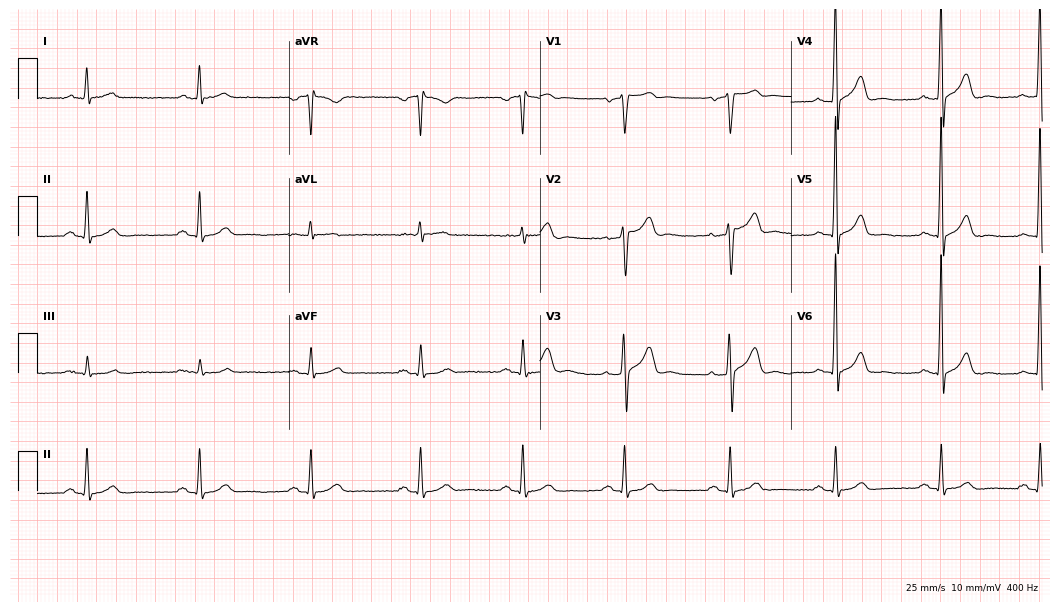
Electrocardiogram, a 60-year-old man. Overall reading on record: normal ECG.